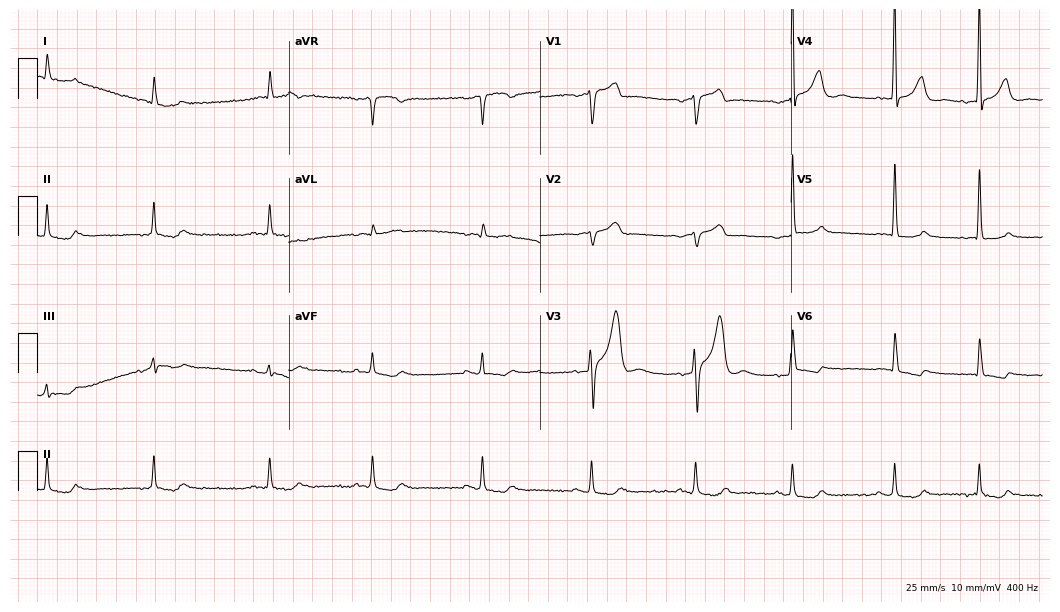
Standard 12-lead ECG recorded from a 79-year-old man. Read as a normal ECG.